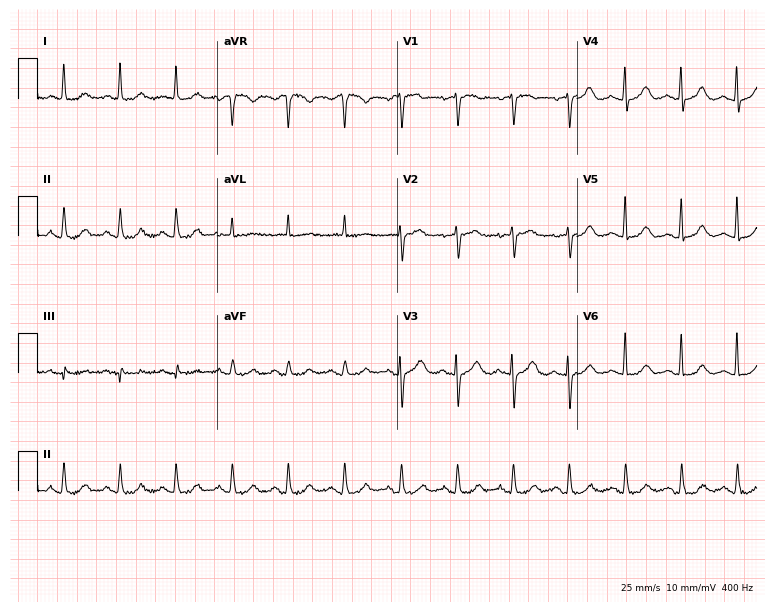
ECG — a female patient, 72 years old. Findings include sinus tachycardia (a sinus rate of 100 beats per minute or more).